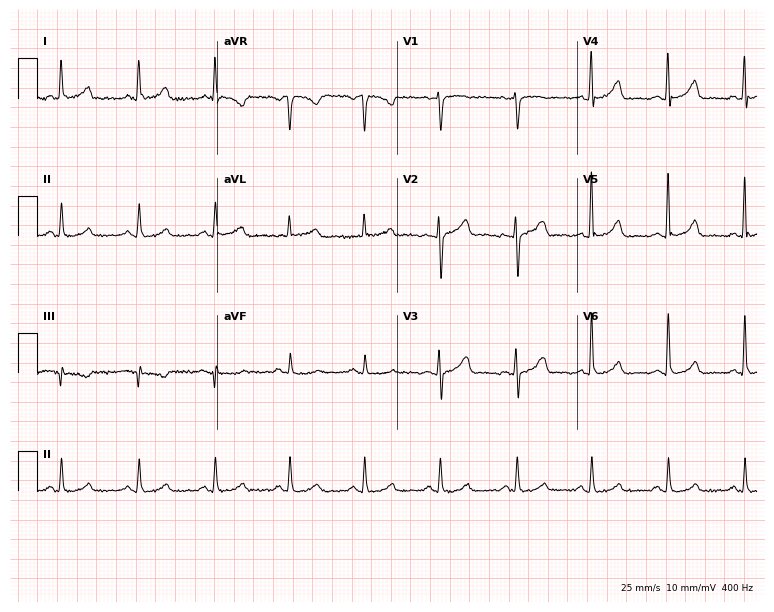
Electrocardiogram, a female, 54 years old. Overall reading on record: normal ECG.